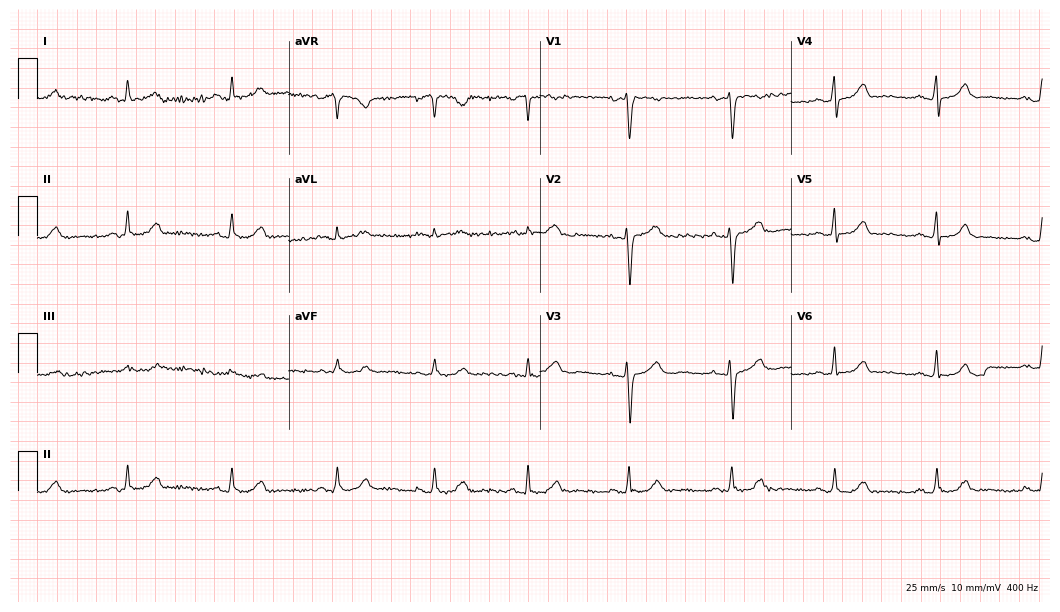
12-lead ECG (10.2-second recording at 400 Hz) from a woman, 52 years old. Labelled as a normal ECG.